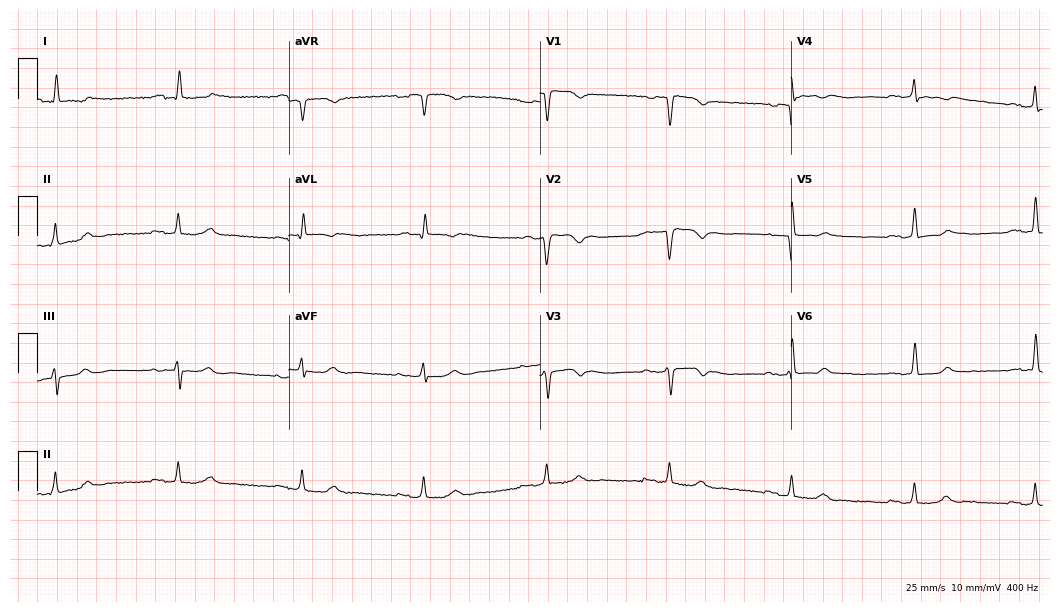
ECG — a 63-year-old male patient. Screened for six findings — first-degree AV block, right bundle branch block (RBBB), left bundle branch block (LBBB), sinus bradycardia, atrial fibrillation (AF), sinus tachycardia — none is recorded.